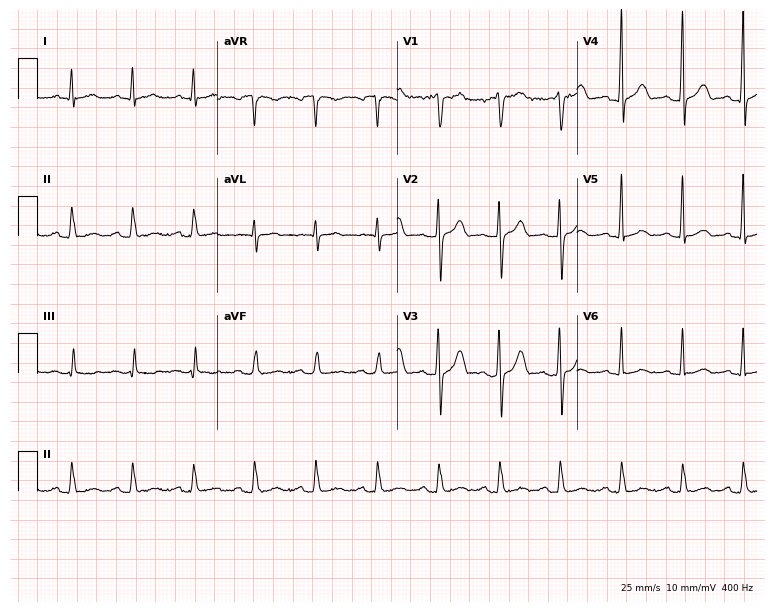
Electrocardiogram, a 42-year-old male. Of the six screened findings (first-degree AV block, right bundle branch block (RBBB), left bundle branch block (LBBB), sinus bradycardia, atrial fibrillation (AF), sinus tachycardia), none is recorded. Findings outside these six are not listed.